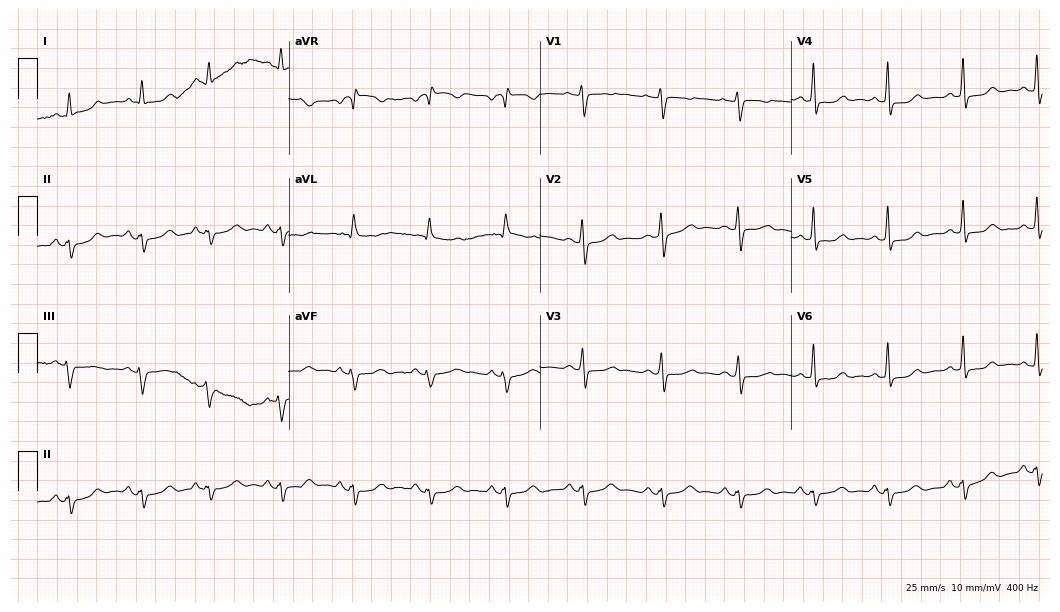
ECG (10.2-second recording at 400 Hz) — a female, 57 years old. Screened for six findings — first-degree AV block, right bundle branch block (RBBB), left bundle branch block (LBBB), sinus bradycardia, atrial fibrillation (AF), sinus tachycardia — none is recorded. Findings outside these six are not listed.